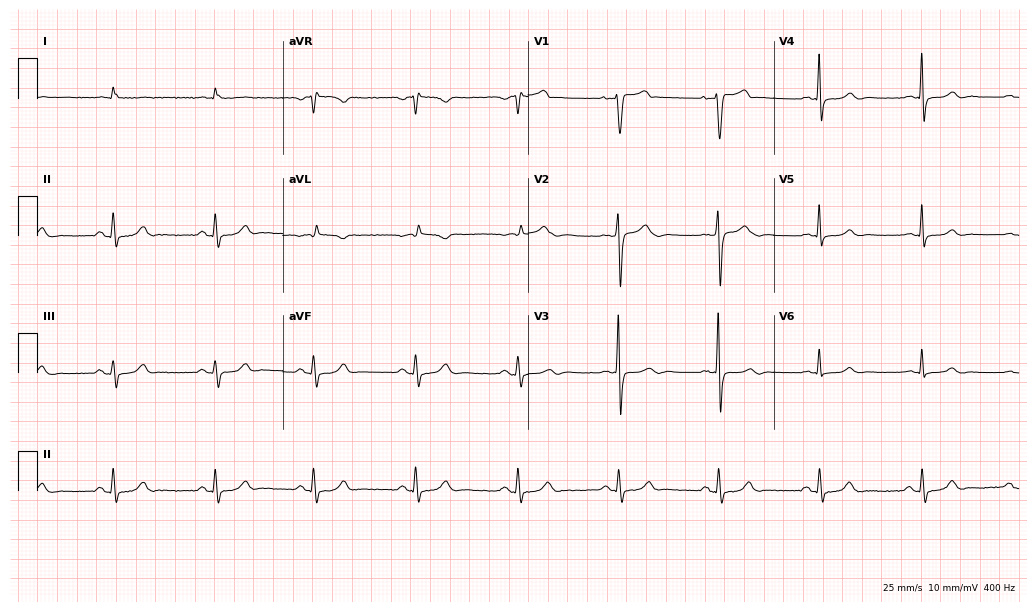
ECG (10-second recording at 400 Hz) — a male patient, 68 years old. Screened for six findings — first-degree AV block, right bundle branch block, left bundle branch block, sinus bradycardia, atrial fibrillation, sinus tachycardia — none is recorded. Other findings, if any, are not listed.